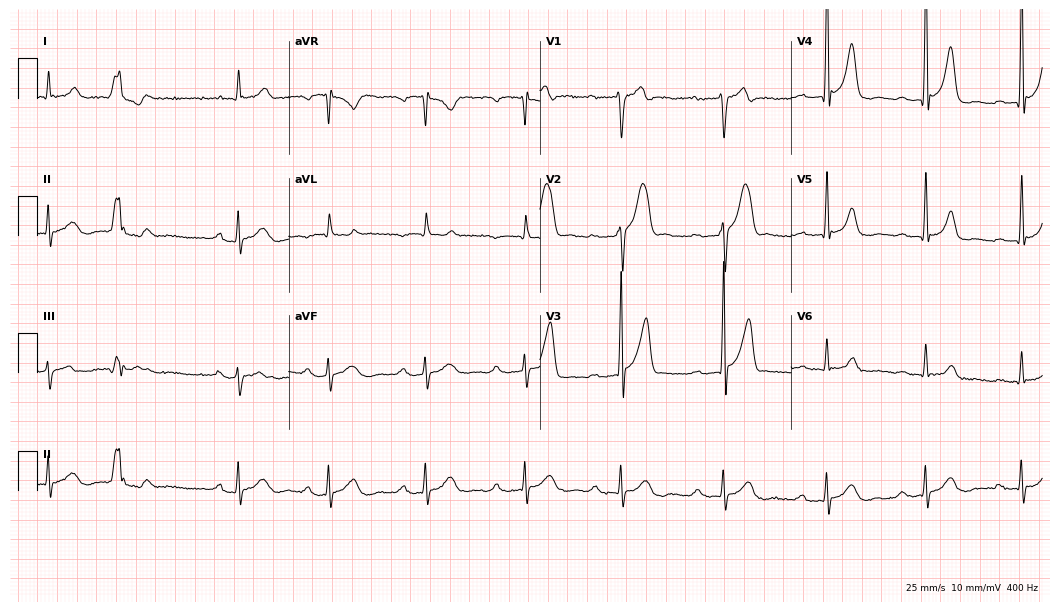
Standard 12-lead ECG recorded from a 62-year-old male patient (10.2-second recording at 400 Hz). The tracing shows first-degree AV block.